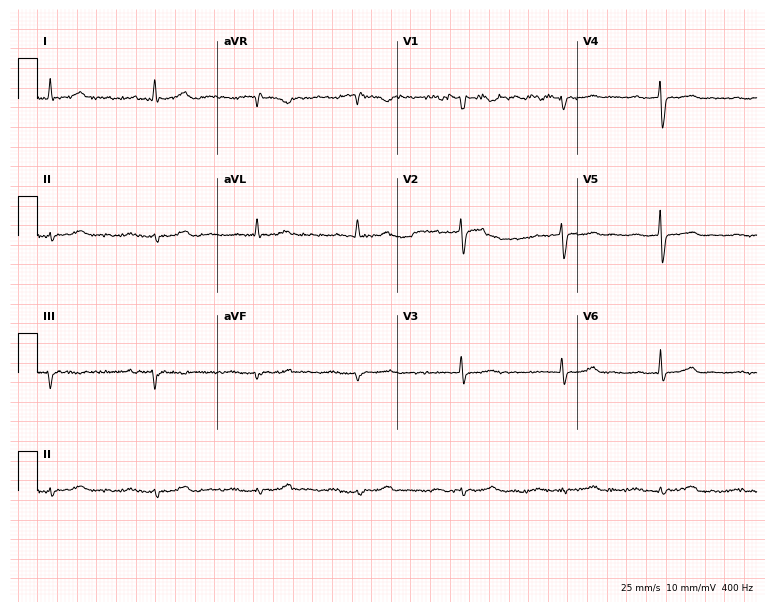
Resting 12-lead electrocardiogram. Patient: a 67-year-old man. None of these six findings is recorded: first-degree AV block, right bundle branch block, left bundle branch block, sinus bradycardia, atrial fibrillation, sinus tachycardia. Only these six findings were labelled.